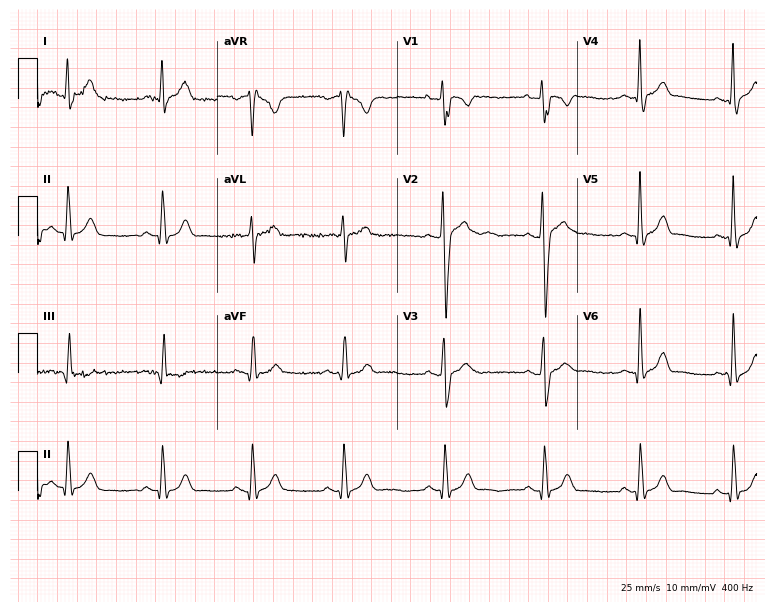
12-lead ECG from a 32-year-old man (7.3-second recording at 400 Hz). No first-degree AV block, right bundle branch block, left bundle branch block, sinus bradycardia, atrial fibrillation or sinus tachycardia recorded for this tracing.